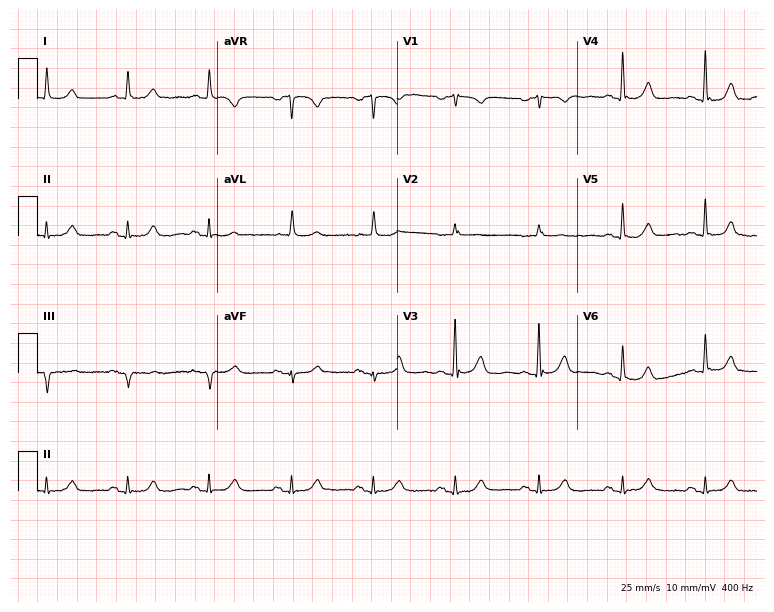
12-lead ECG from a man, 66 years old. Recorded interpretation: within normal limits.